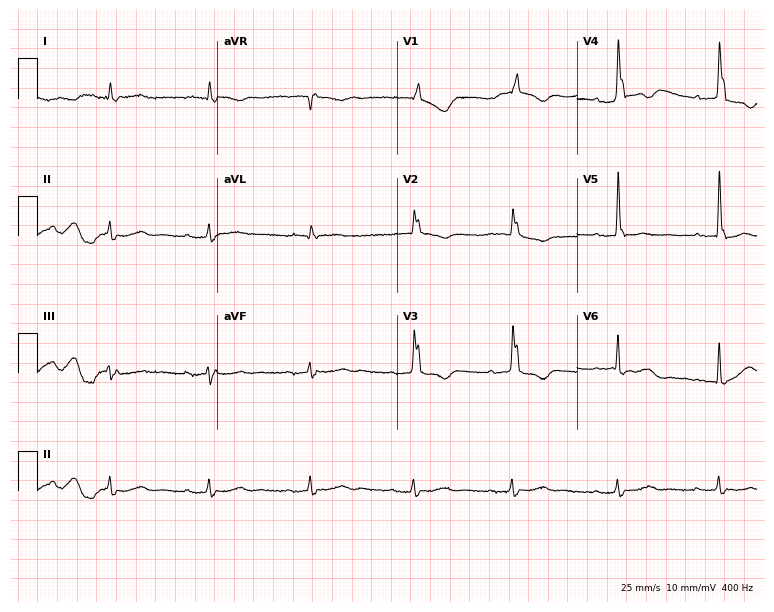
Standard 12-lead ECG recorded from a man, 85 years old. The tracing shows first-degree AV block.